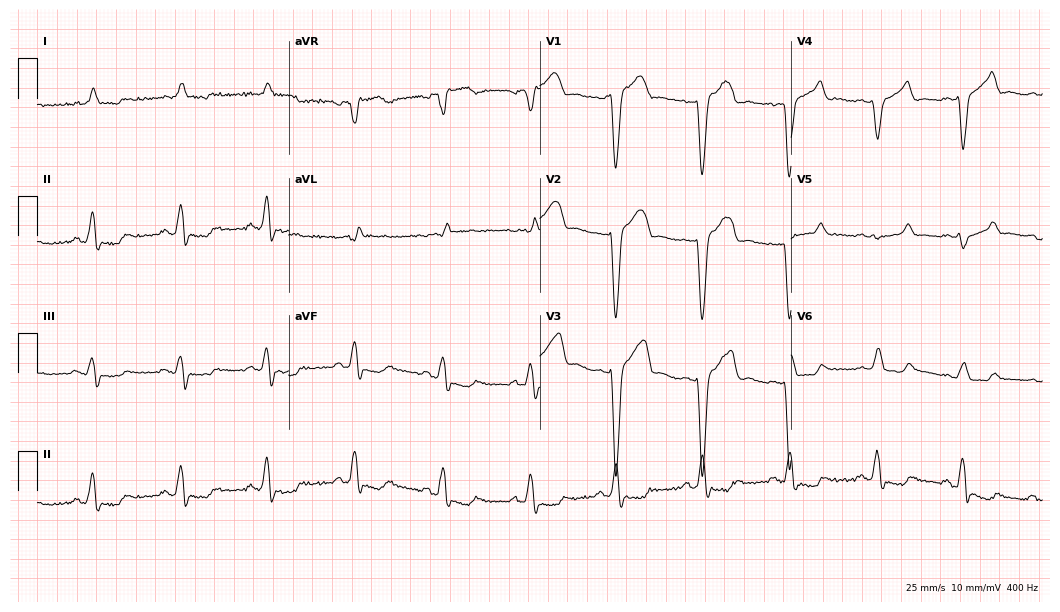
Resting 12-lead electrocardiogram. Patient: a male, 62 years old. The tracing shows left bundle branch block (LBBB).